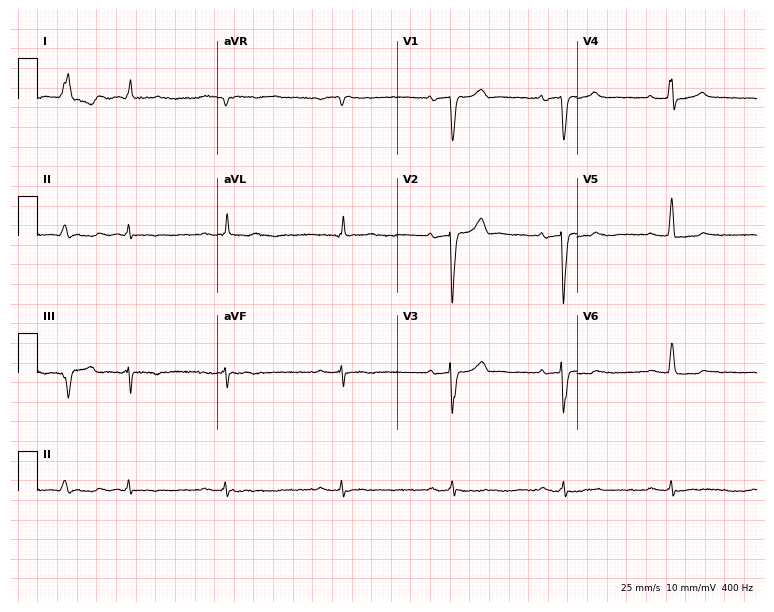
Resting 12-lead electrocardiogram (7.3-second recording at 400 Hz). Patient: a man, 48 years old. None of these six findings is recorded: first-degree AV block, right bundle branch block (RBBB), left bundle branch block (LBBB), sinus bradycardia, atrial fibrillation (AF), sinus tachycardia.